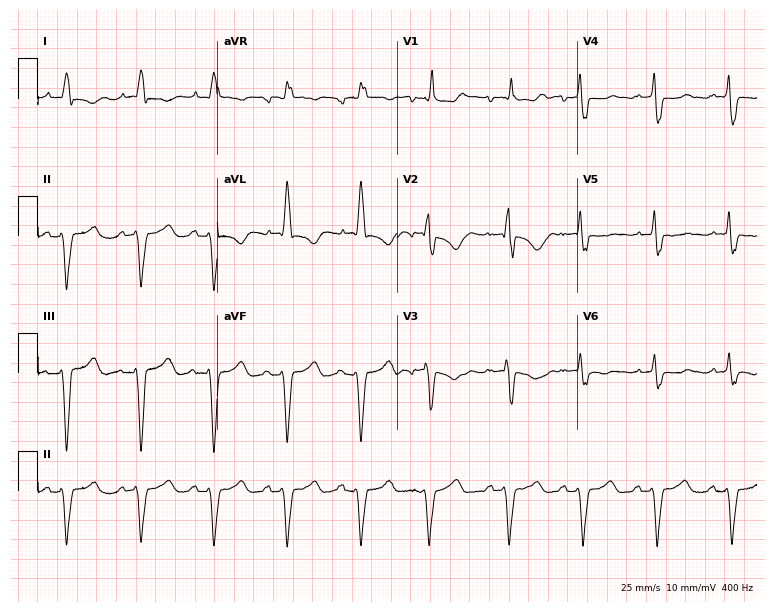
Electrocardiogram, an 84-year-old male patient. Of the six screened findings (first-degree AV block, right bundle branch block, left bundle branch block, sinus bradycardia, atrial fibrillation, sinus tachycardia), none is recorded. Other findings, if any, are not listed.